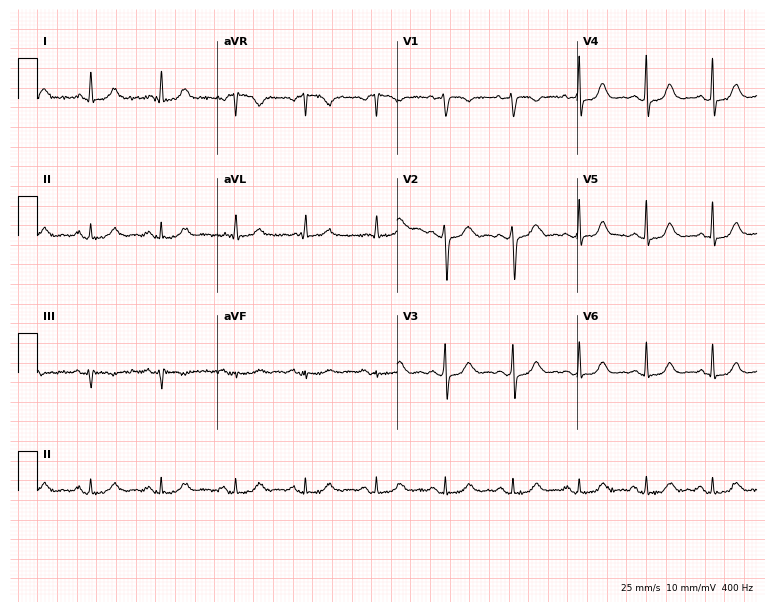
Resting 12-lead electrocardiogram. Patient: a 41-year-old female. Read as a normal ECG.